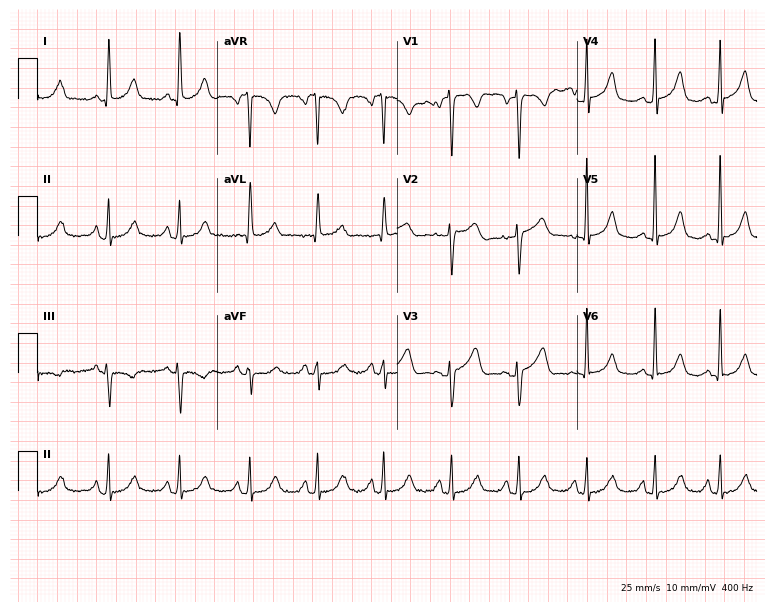
12-lead ECG from a 67-year-old female patient (7.3-second recording at 400 Hz). Recorded interpretation: within normal limits.